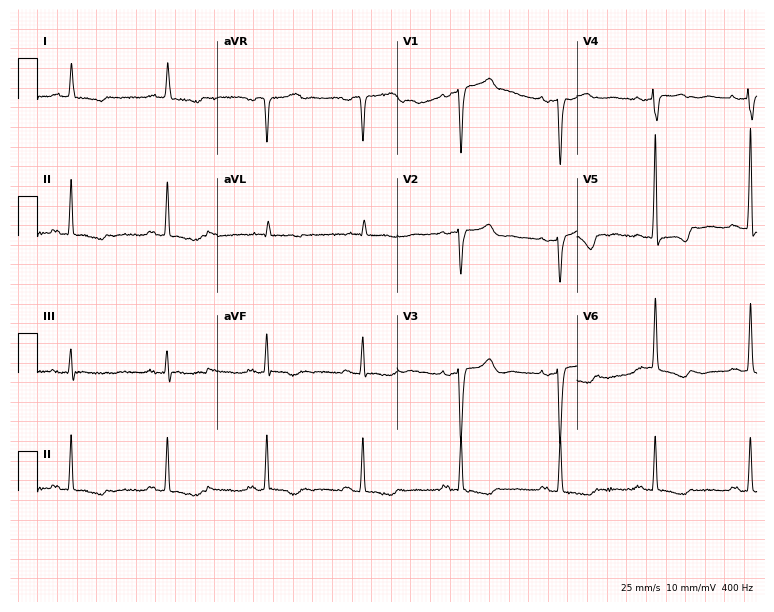
Standard 12-lead ECG recorded from a 62-year-old female (7.3-second recording at 400 Hz). None of these six findings is recorded: first-degree AV block, right bundle branch block, left bundle branch block, sinus bradycardia, atrial fibrillation, sinus tachycardia. Findings outside these six are not listed.